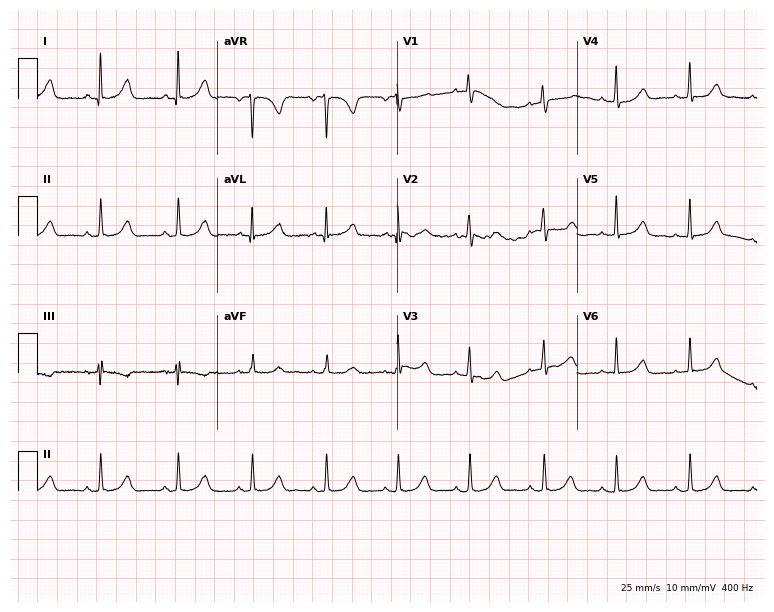
Resting 12-lead electrocardiogram. Patient: a 38-year-old female. Read as a normal ECG.